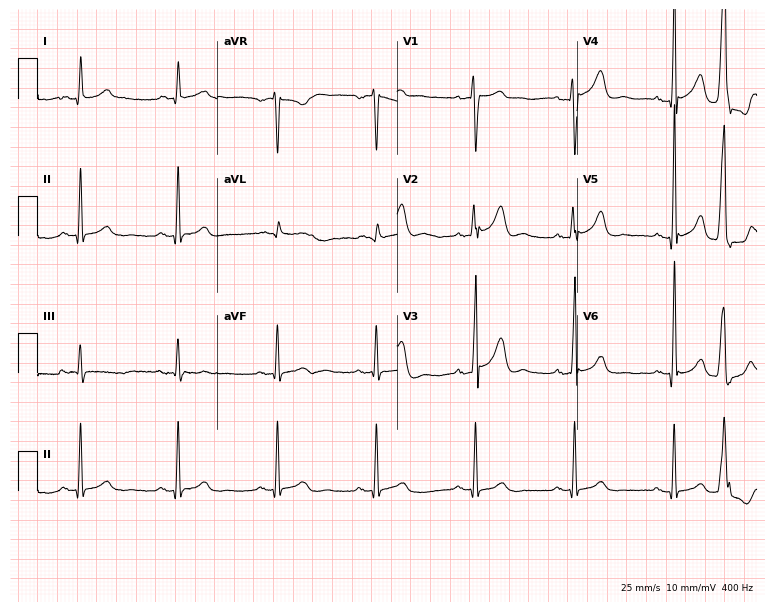
12-lead ECG (7.3-second recording at 400 Hz) from a man, 70 years old. Labelled as a normal ECG.